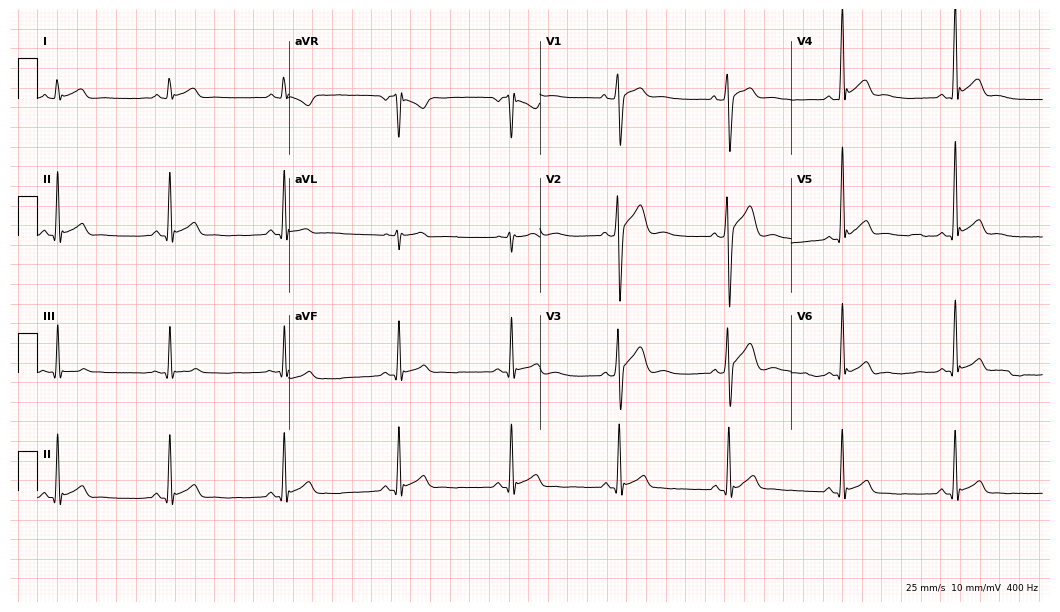
12-lead ECG (10.2-second recording at 400 Hz) from a 28-year-old male. Screened for six findings — first-degree AV block, right bundle branch block (RBBB), left bundle branch block (LBBB), sinus bradycardia, atrial fibrillation (AF), sinus tachycardia — none is recorded.